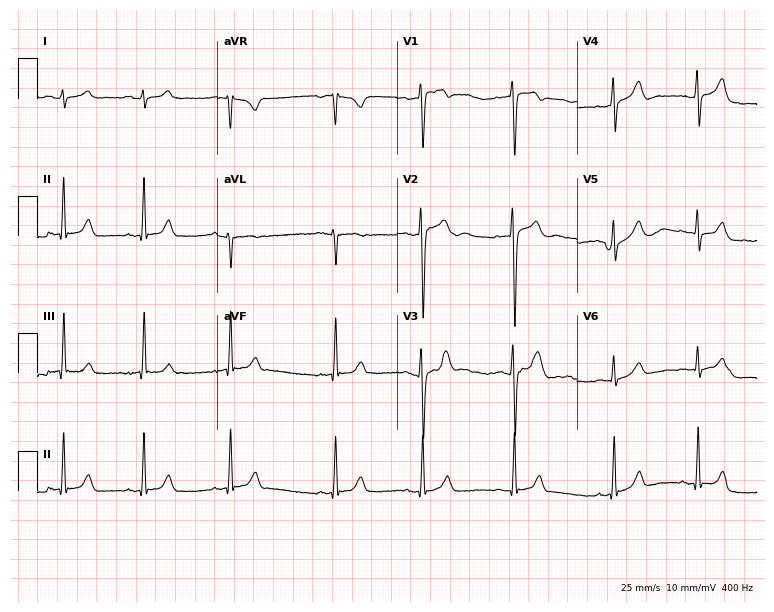
Standard 12-lead ECG recorded from a 26-year-old male (7.3-second recording at 400 Hz). Read as a normal ECG.